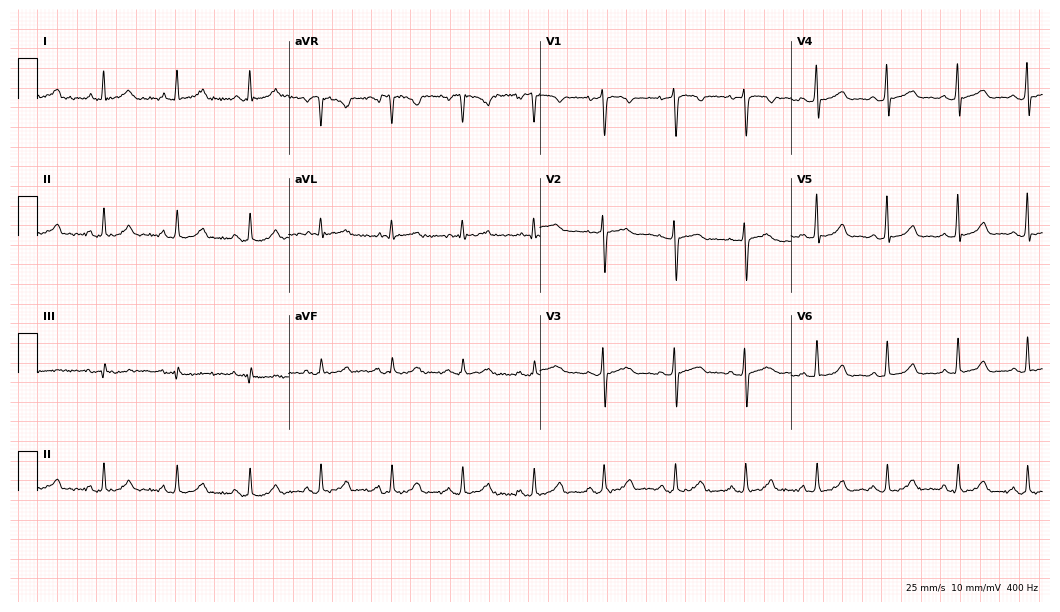
12-lead ECG from a 44-year-old female. No first-degree AV block, right bundle branch block (RBBB), left bundle branch block (LBBB), sinus bradycardia, atrial fibrillation (AF) or sinus tachycardia recorded for this tracing. Findings outside these six are not listed.